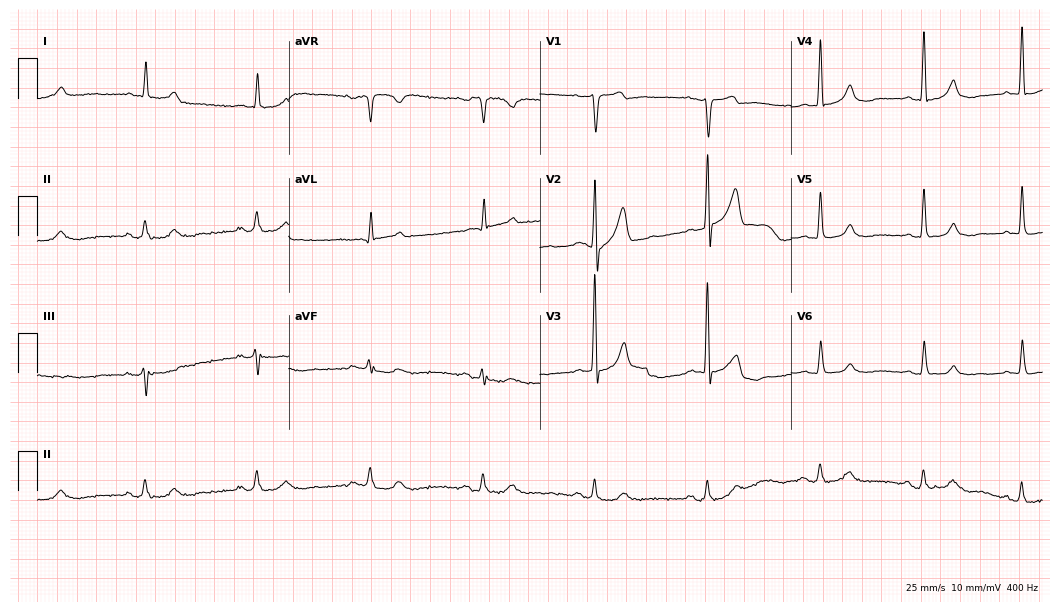
12-lead ECG (10.2-second recording at 400 Hz) from a male, 75 years old. Screened for six findings — first-degree AV block, right bundle branch block, left bundle branch block, sinus bradycardia, atrial fibrillation, sinus tachycardia — none is recorded.